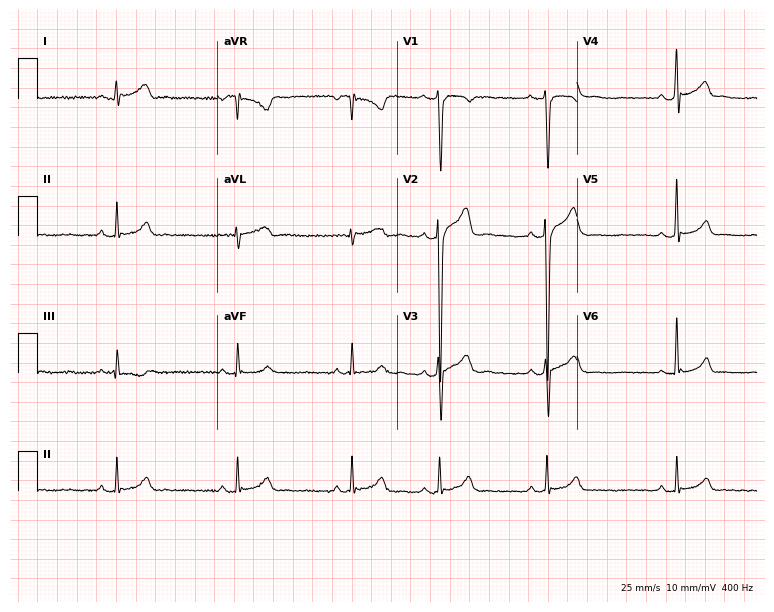
ECG (7.3-second recording at 400 Hz) — a male patient, 21 years old. Labelled as a normal ECG.